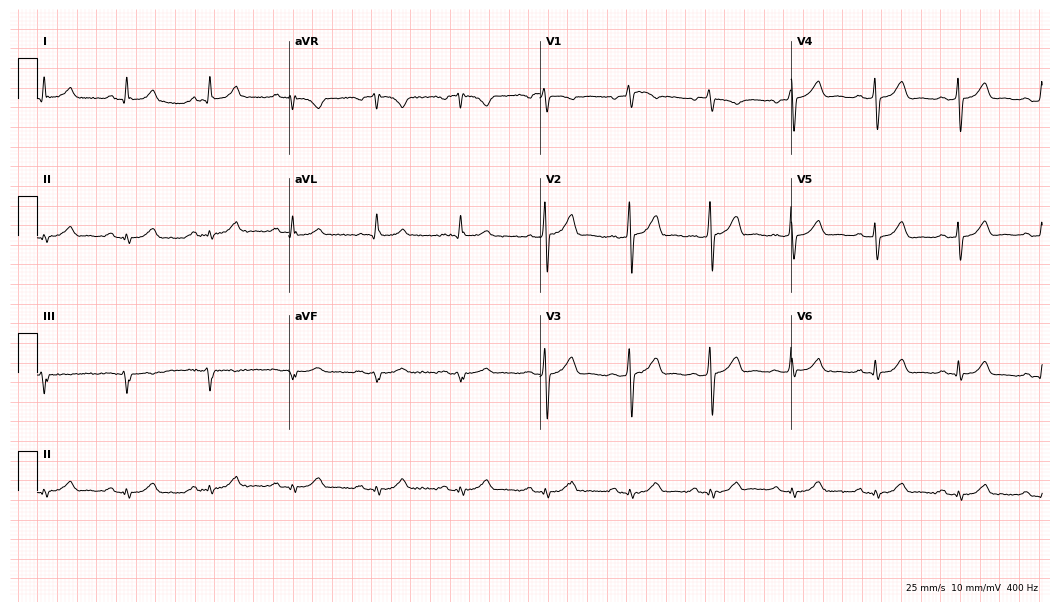
12-lead ECG from a 56-year-old male. Labelled as a normal ECG.